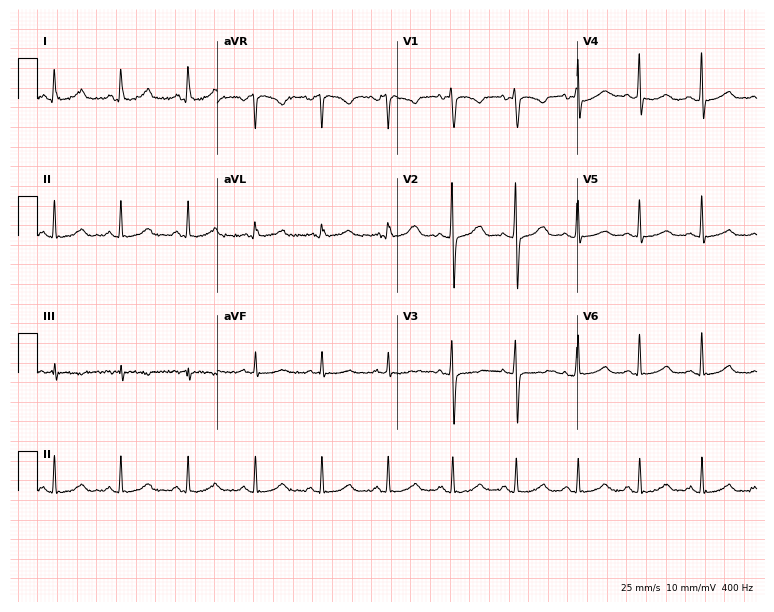
12-lead ECG from a woman, 39 years old. Labelled as a normal ECG.